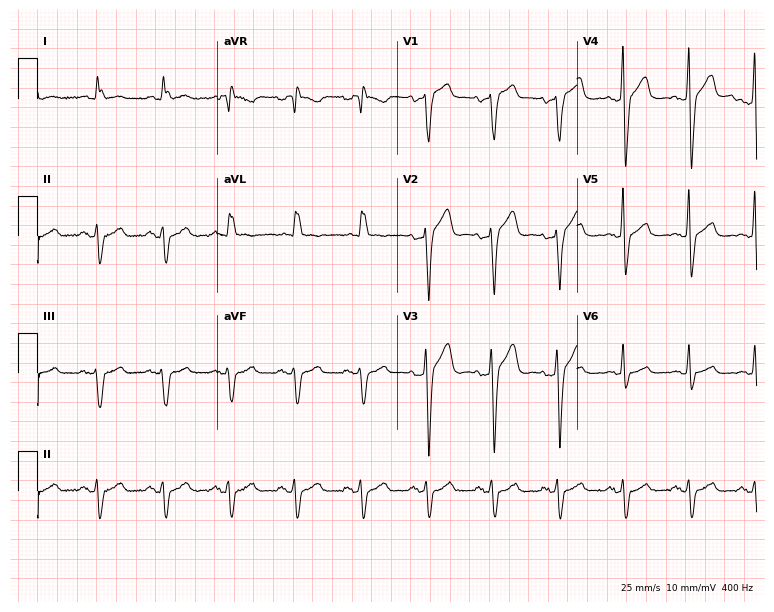
Resting 12-lead electrocardiogram. Patient: a male, 61 years old. None of these six findings is recorded: first-degree AV block, right bundle branch block, left bundle branch block, sinus bradycardia, atrial fibrillation, sinus tachycardia. Other findings, if any, are not listed.